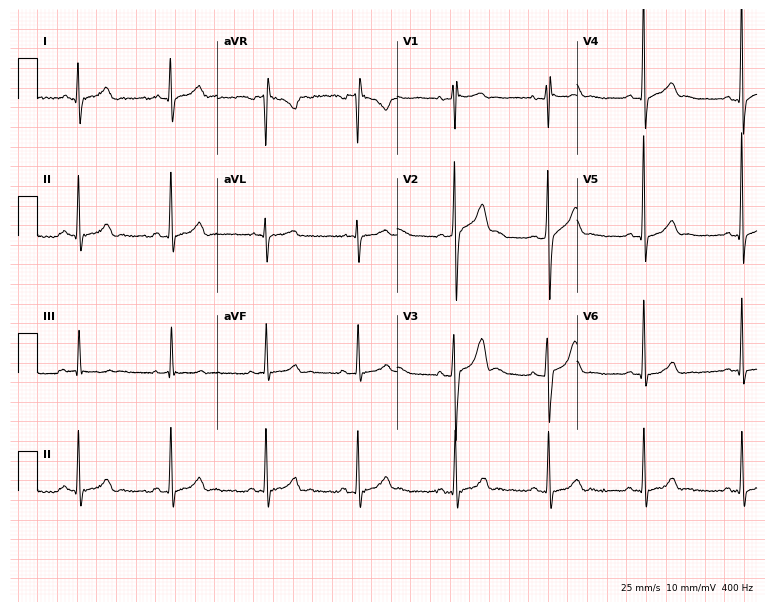
12-lead ECG (7.3-second recording at 400 Hz) from a male, 22 years old. Labelled as a normal ECG.